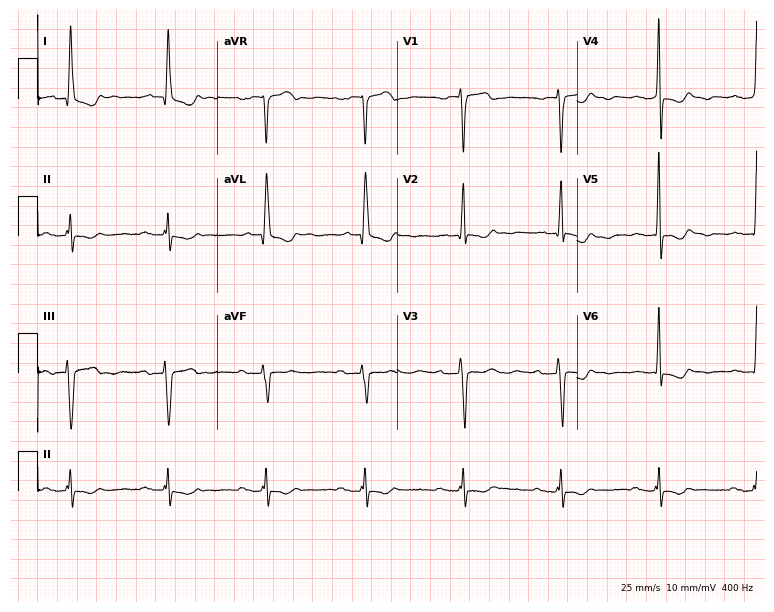
Standard 12-lead ECG recorded from an 84-year-old female (7.3-second recording at 400 Hz). None of these six findings is recorded: first-degree AV block, right bundle branch block, left bundle branch block, sinus bradycardia, atrial fibrillation, sinus tachycardia.